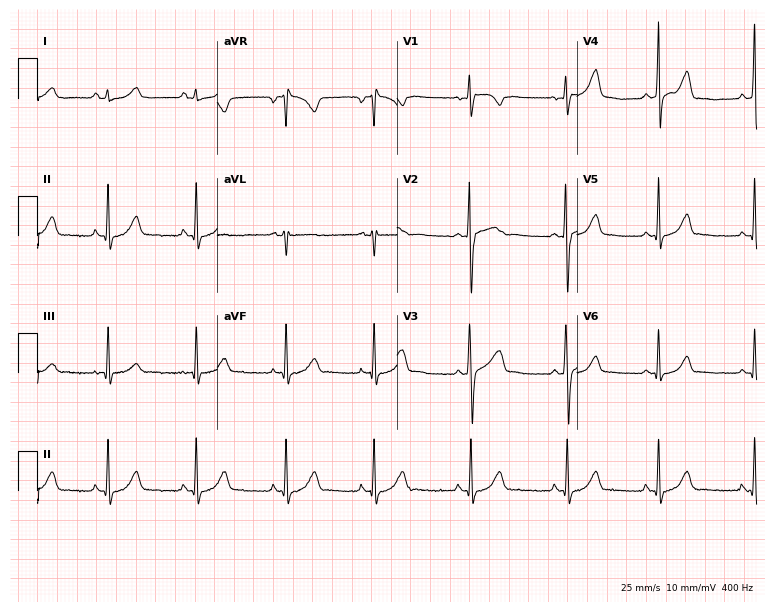
ECG — a 30-year-old female patient. Labelled as a normal ECG.